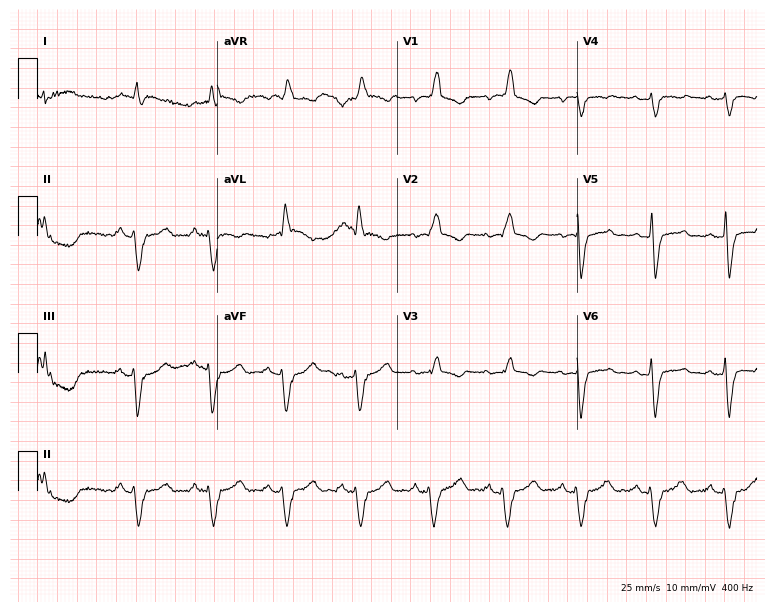
12-lead ECG from a 59-year-old male. Shows right bundle branch block.